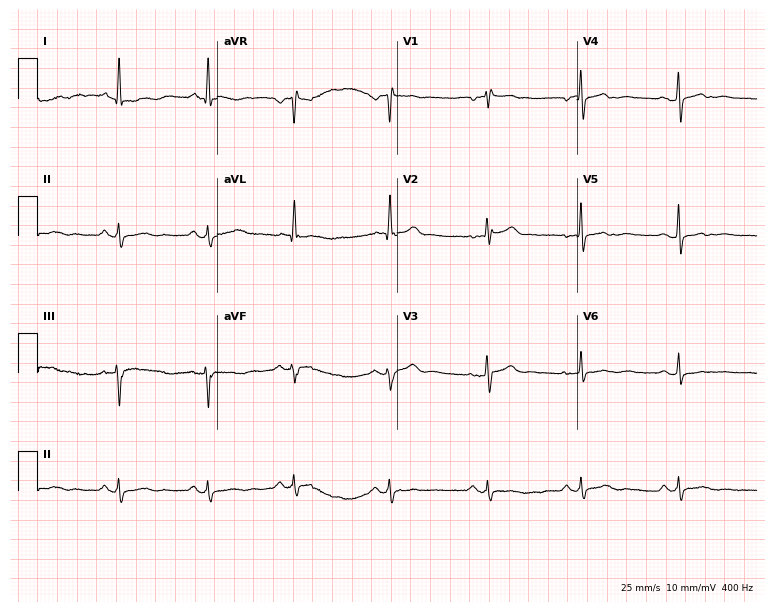
Standard 12-lead ECG recorded from a woman, 57 years old (7.3-second recording at 400 Hz). None of these six findings is recorded: first-degree AV block, right bundle branch block (RBBB), left bundle branch block (LBBB), sinus bradycardia, atrial fibrillation (AF), sinus tachycardia.